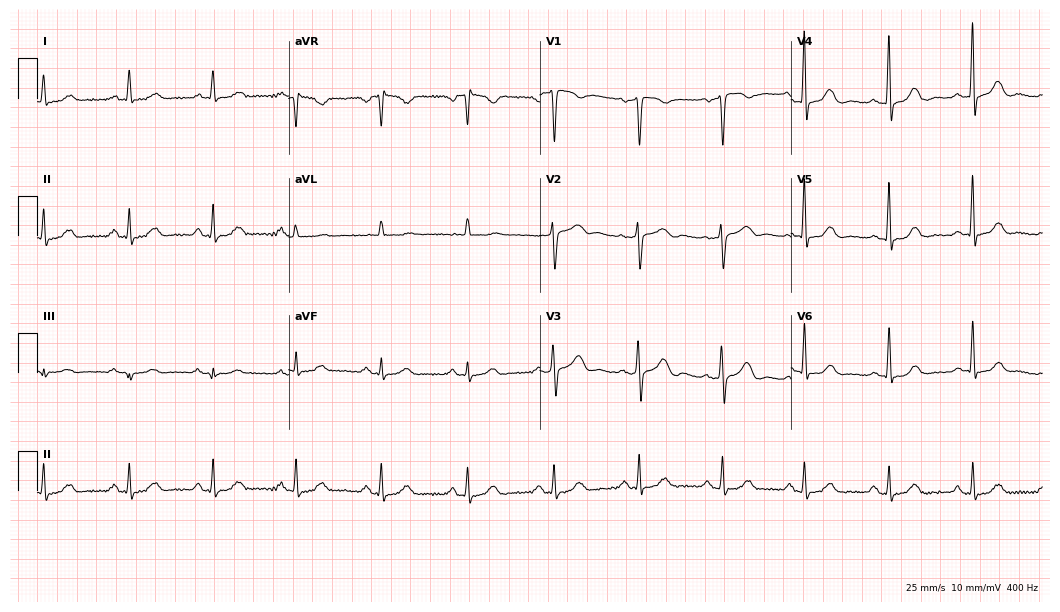
12-lead ECG from a woman, 51 years old. Screened for six findings — first-degree AV block, right bundle branch block, left bundle branch block, sinus bradycardia, atrial fibrillation, sinus tachycardia — none is recorded. Findings outside these six are not listed.